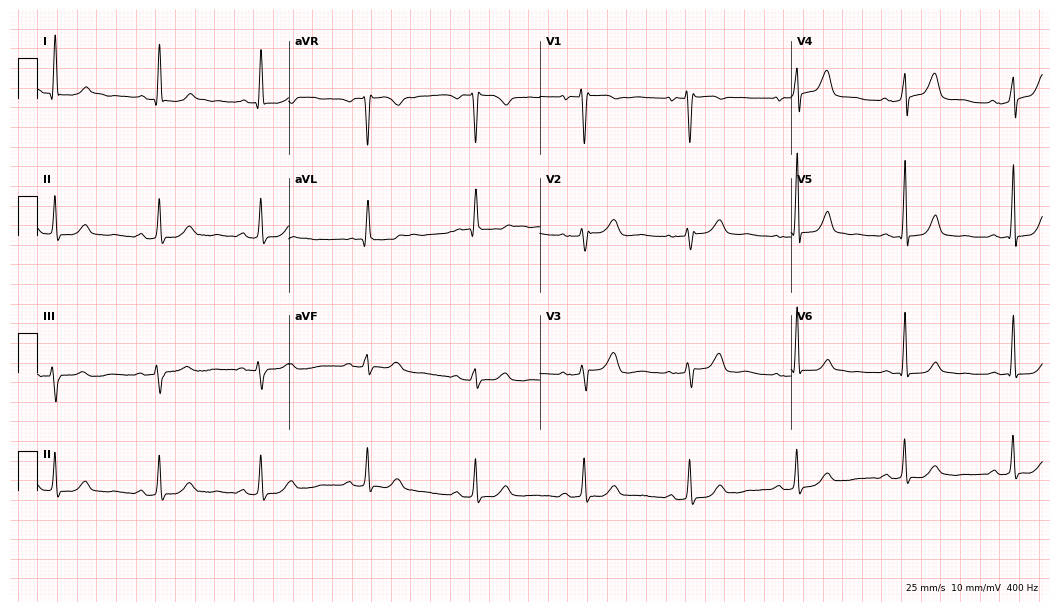
Resting 12-lead electrocardiogram (10.2-second recording at 400 Hz). Patient: a female, 59 years old. None of these six findings is recorded: first-degree AV block, right bundle branch block, left bundle branch block, sinus bradycardia, atrial fibrillation, sinus tachycardia.